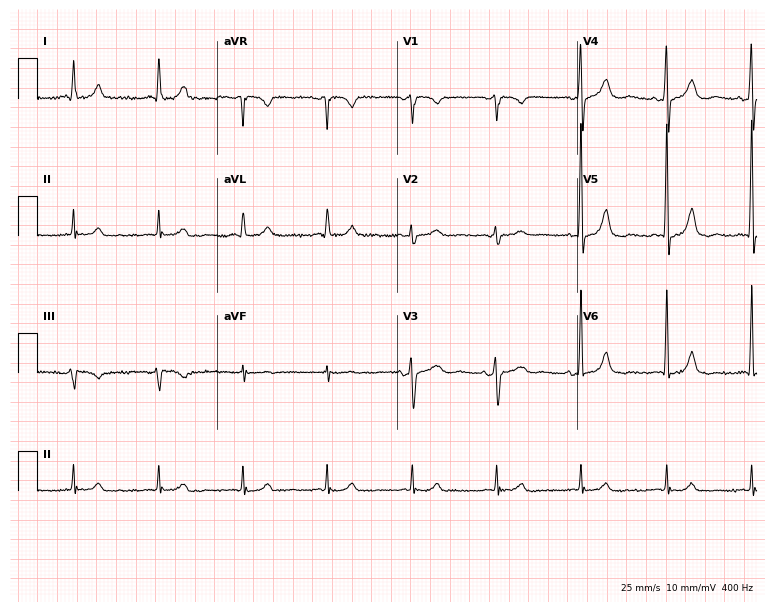
12-lead ECG from a female, 70 years old. Screened for six findings — first-degree AV block, right bundle branch block, left bundle branch block, sinus bradycardia, atrial fibrillation, sinus tachycardia — none is recorded.